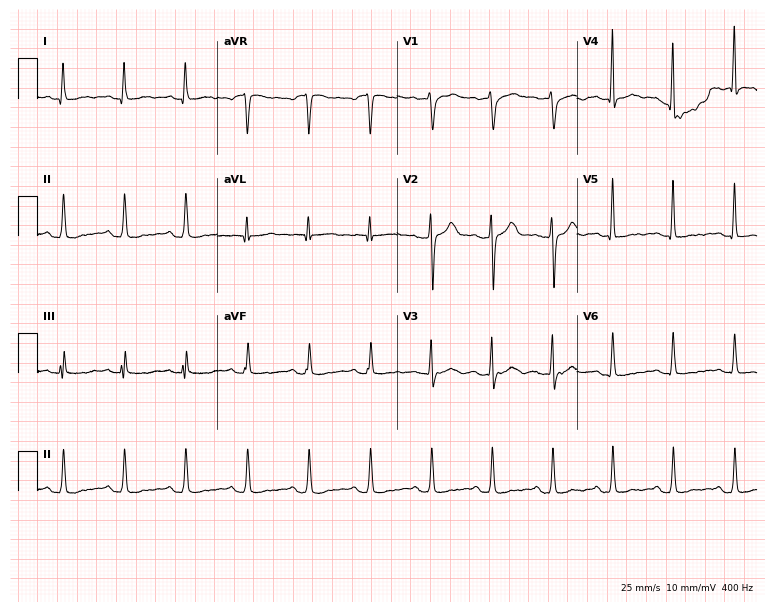
12-lead ECG from a 35-year-old man (7.3-second recording at 400 Hz). No first-degree AV block, right bundle branch block (RBBB), left bundle branch block (LBBB), sinus bradycardia, atrial fibrillation (AF) or sinus tachycardia recorded for this tracing.